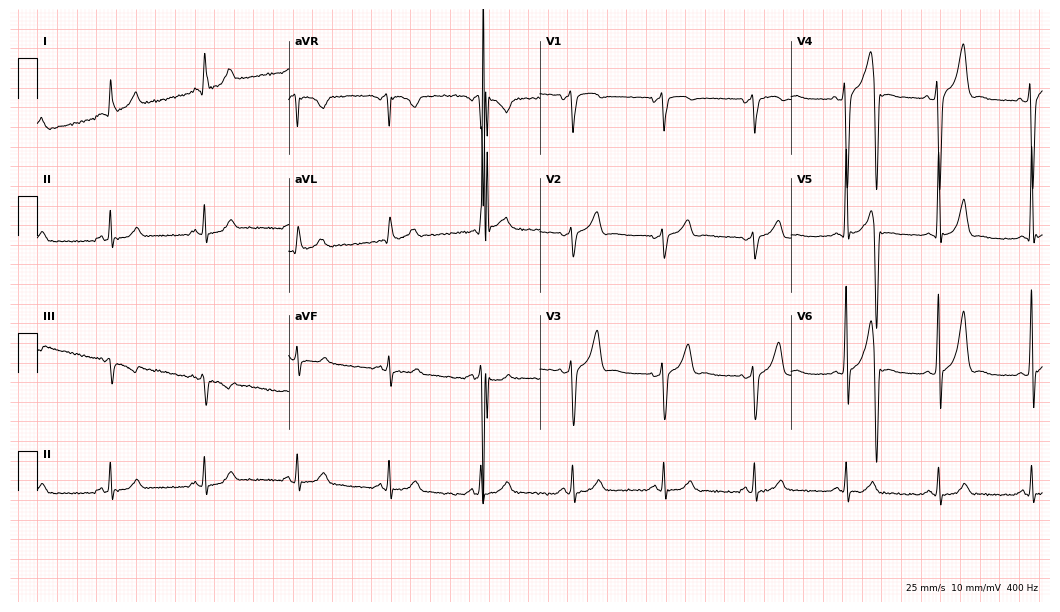
ECG (10.2-second recording at 400 Hz) — a male, 56 years old. Labelled as a normal ECG.